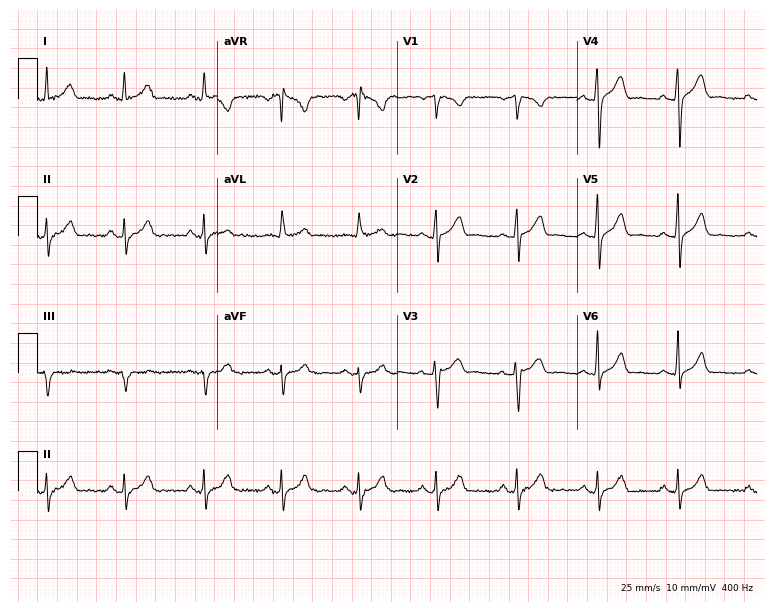
12-lead ECG from a 51-year-old male. Recorded interpretation: within normal limits.